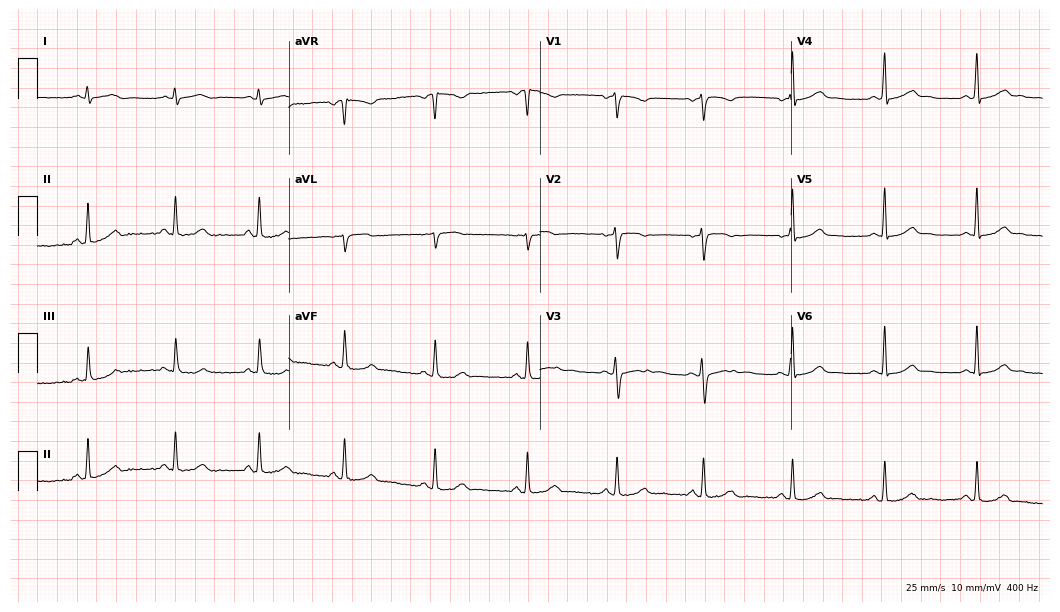
Standard 12-lead ECG recorded from a female patient, 24 years old (10.2-second recording at 400 Hz). Read as a normal ECG.